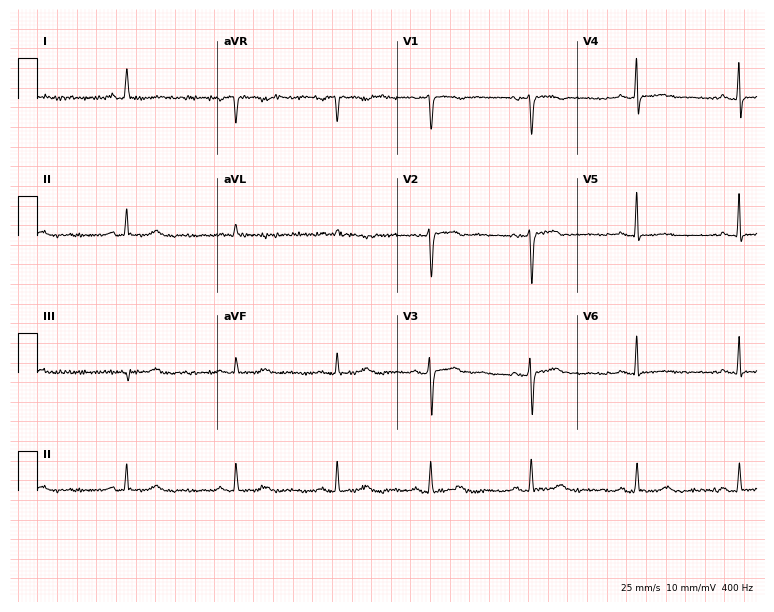
ECG (7.3-second recording at 400 Hz) — a female, 60 years old. Screened for six findings — first-degree AV block, right bundle branch block (RBBB), left bundle branch block (LBBB), sinus bradycardia, atrial fibrillation (AF), sinus tachycardia — none is recorded.